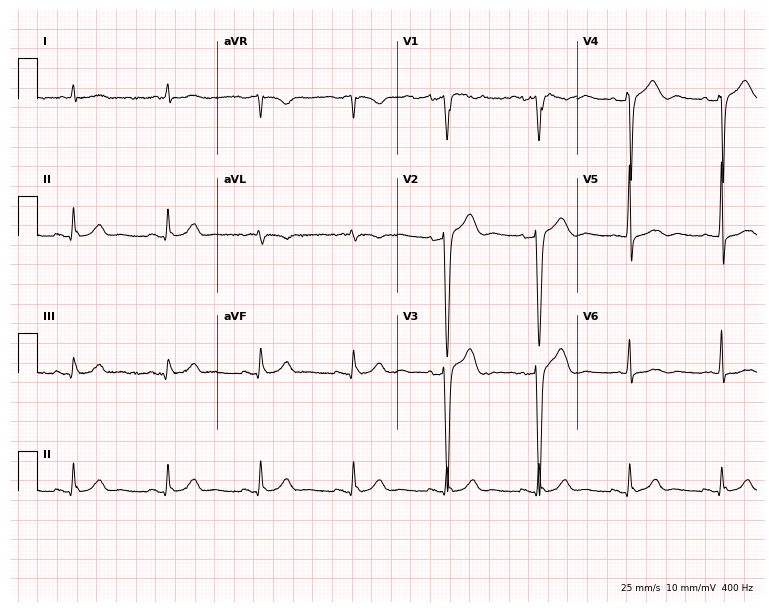
Resting 12-lead electrocardiogram. Patient: a 68-year-old male. None of these six findings is recorded: first-degree AV block, right bundle branch block, left bundle branch block, sinus bradycardia, atrial fibrillation, sinus tachycardia.